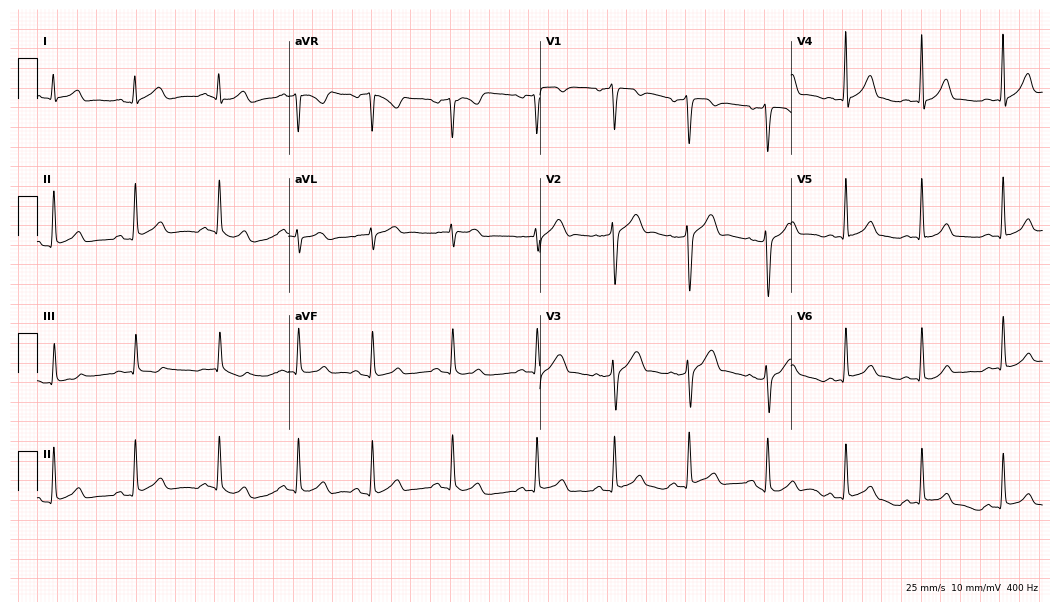
ECG — a 33-year-old man. Labelled as a normal ECG.